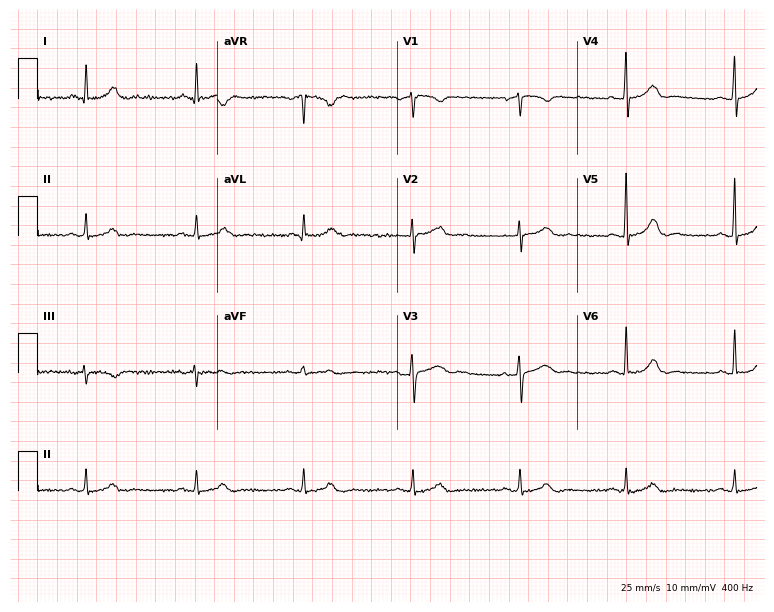
Resting 12-lead electrocardiogram. Patient: a female, 59 years old. Read as a normal ECG.